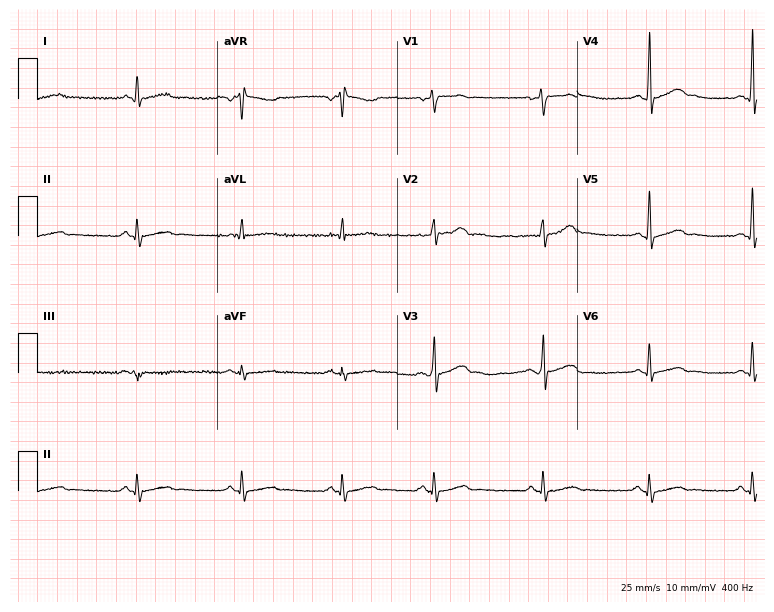
ECG (7.3-second recording at 400 Hz) — a 35-year-old male. Screened for six findings — first-degree AV block, right bundle branch block, left bundle branch block, sinus bradycardia, atrial fibrillation, sinus tachycardia — none is recorded.